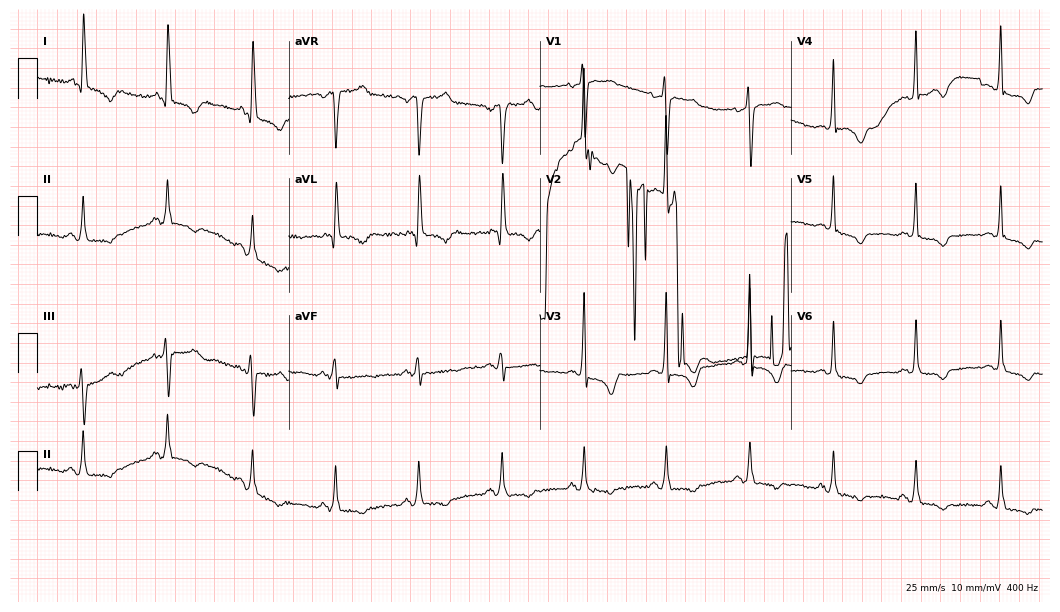
12-lead ECG from a female patient, 73 years old (10.2-second recording at 400 Hz). No first-degree AV block, right bundle branch block, left bundle branch block, sinus bradycardia, atrial fibrillation or sinus tachycardia recorded for this tracing.